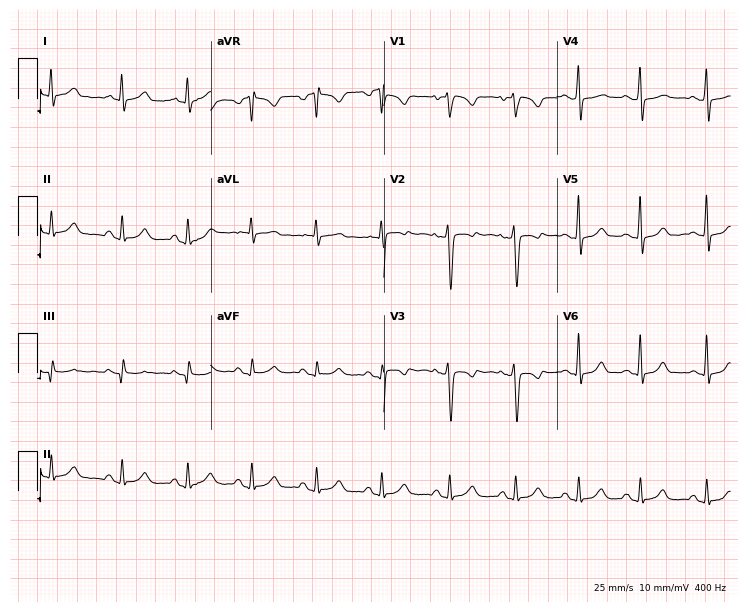
Electrocardiogram (7.1-second recording at 400 Hz), a female patient, 25 years old. Of the six screened findings (first-degree AV block, right bundle branch block, left bundle branch block, sinus bradycardia, atrial fibrillation, sinus tachycardia), none is recorded. Findings outside these six are not listed.